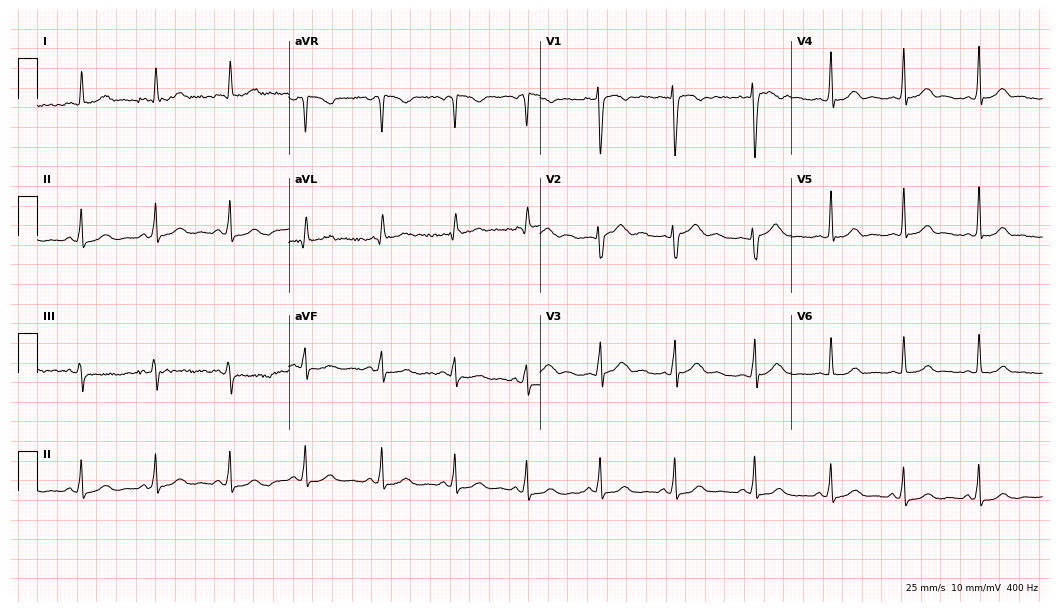
Electrocardiogram, a 39-year-old woman. Overall reading on record: normal ECG.